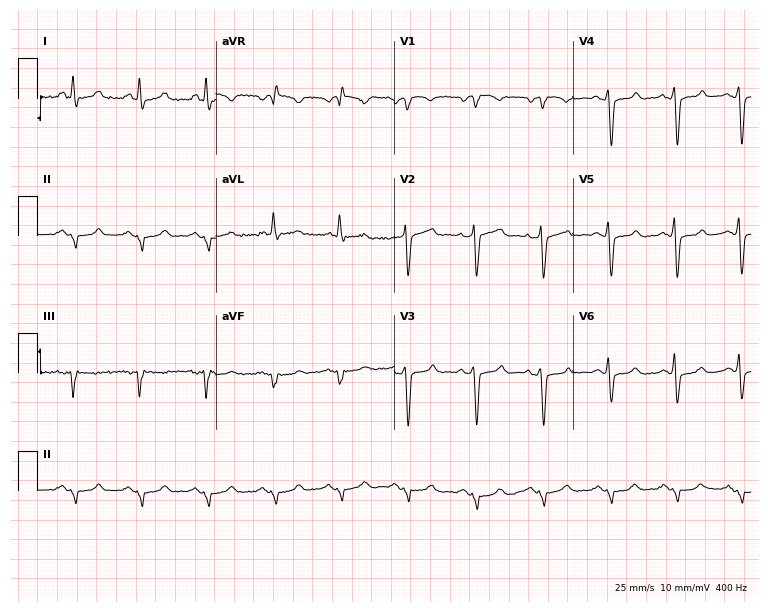
12-lead ECG (7.3-second recording at 400 Hz) from a 60-year-old male. Screened for six findings — first-degree AV block, right bundle branch block, left bundle branch block, sinus bradycardia, atrial fibrillation, sinus tachycardia — none is recorded. Findings outside these six are not listed.